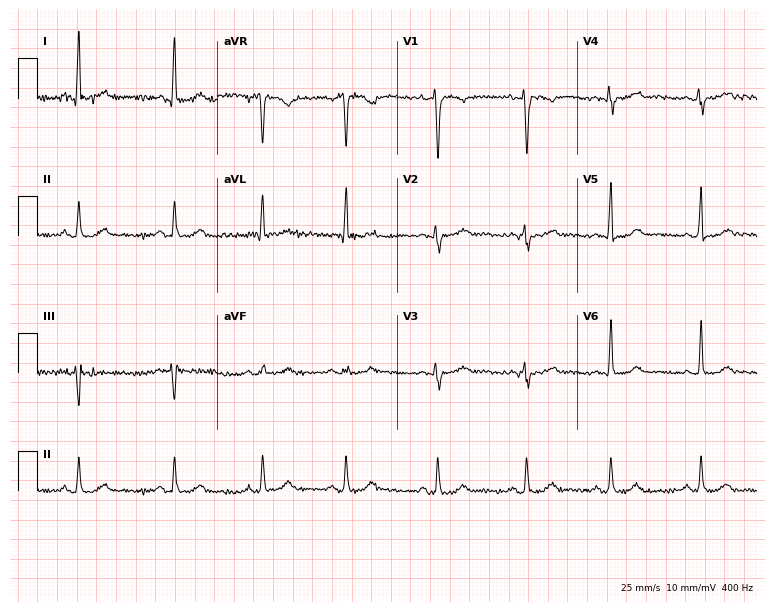
ECG (7.3-second recording at 400 Hz) — a 30-year-old woman. Labelled as a normal ECG.